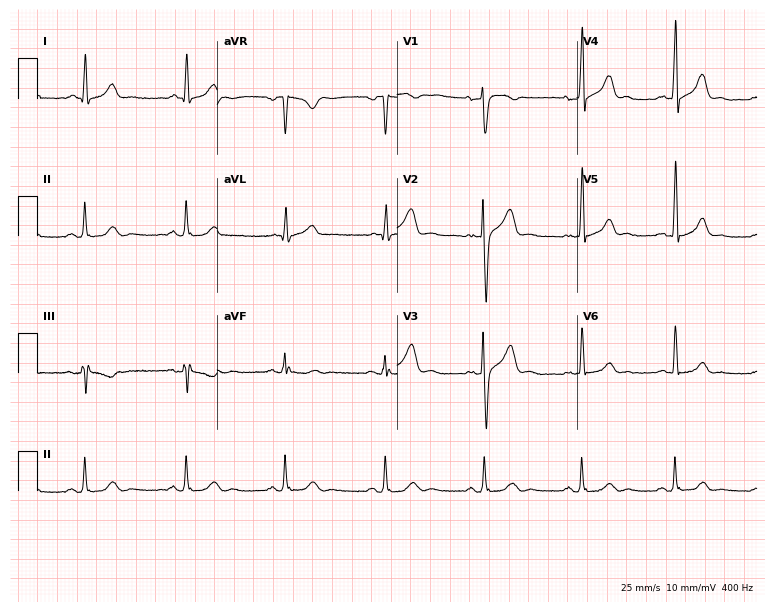
ECG — a male patient, 40 years old. Labelled as a normal ECG.